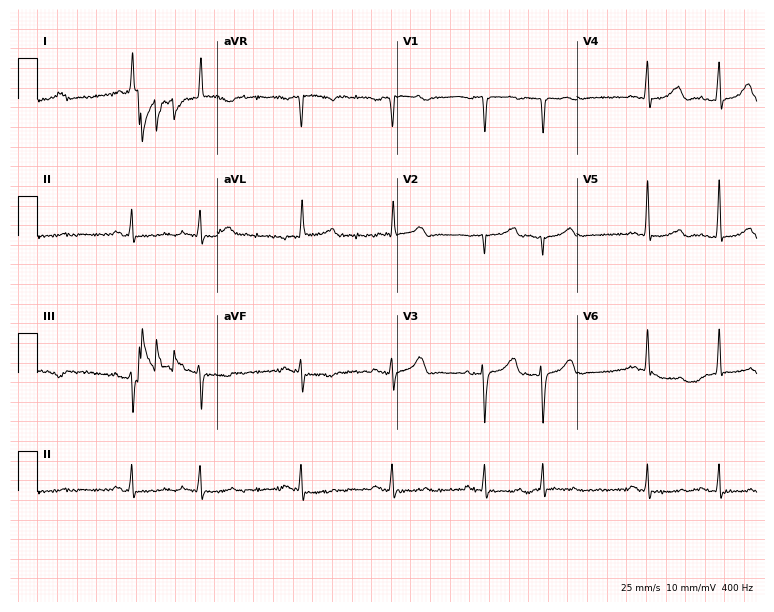
Electrocardiogram, a 71-year-old female patient. Of the six screened findings (first-degree AV block, right bundle branch block, left bundle branch block, sinus bradycardia, atrial fibrillation, sinus tachycardia), none is recorded. Only these six findings were labelled.